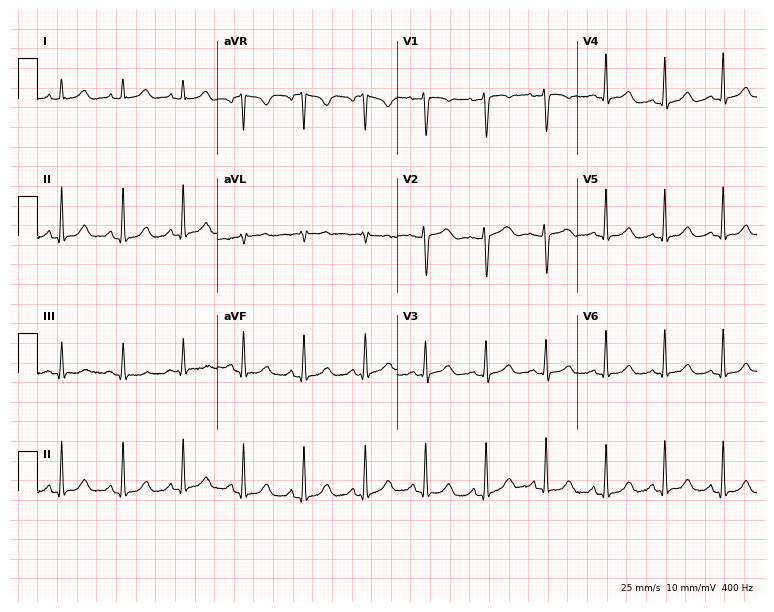
12-lead ECG from a 28-year-old woman (7.3-second recording at 400 Hz). Recorded interpretation: within normal limits.